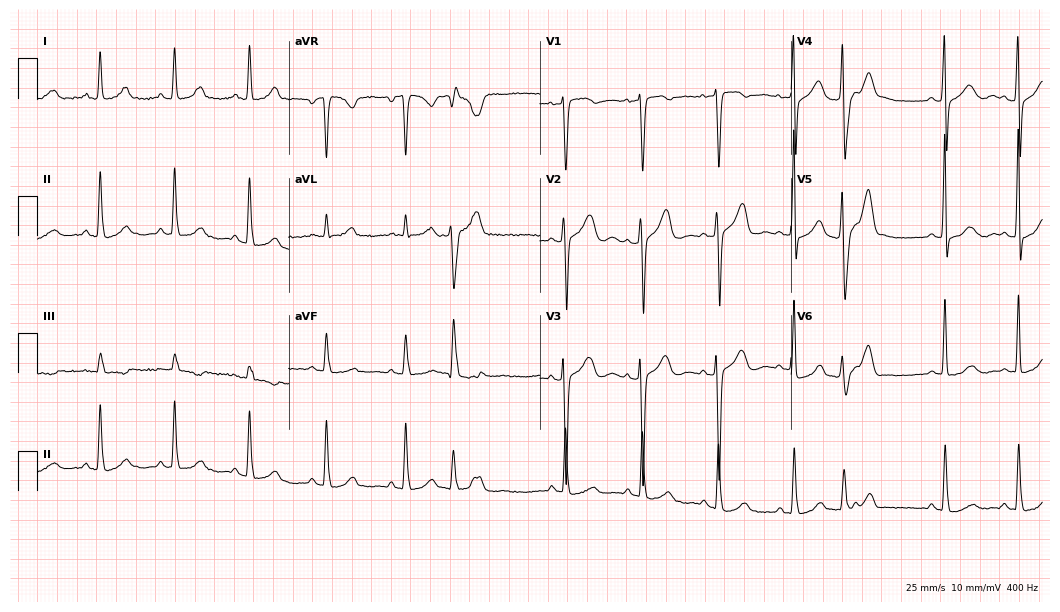
Electrocardiogram (10.2-second recording at 400 Hz), a 60-year-old woman. Of the six screened findings (first-degree AV block, right bundle branch block, left bundle branch block, sinus bradycardia, atrial fibrillation, sinus tachycardia), none is recorded. Findings outside these six are not listed.